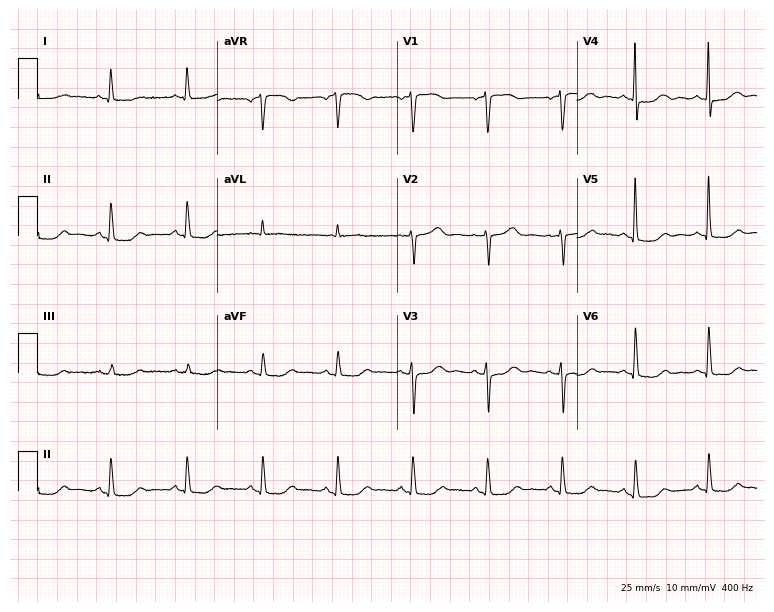
12-lead ECG from a female, 68 years old. Recorded interpretation: within normal limits.